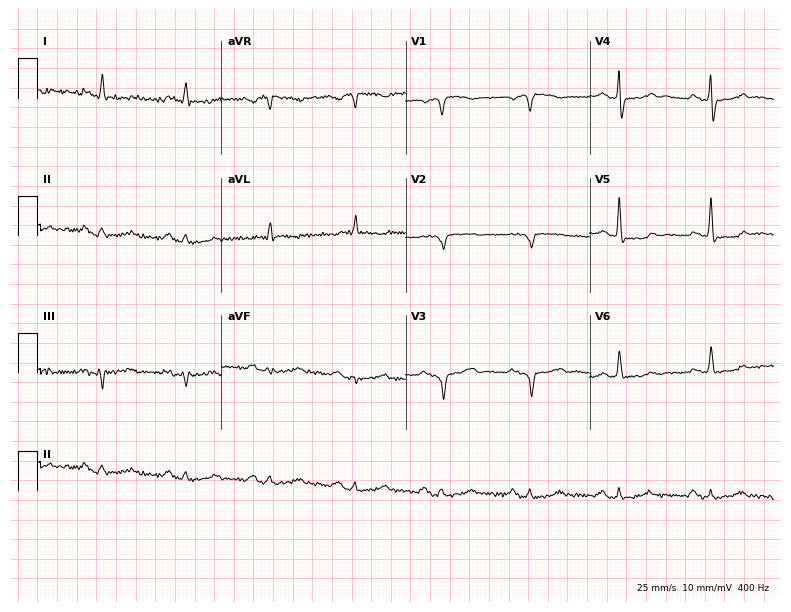
Standard 12-lead ECG recorded from a male, 69 years old. None of these six findings is recorded: first-degree AV block, right bundle branch block, left bundle branch block, sinus bradycardia, atrial fibrillation, sinus tachycardia. Other findings, if any, are not listed.